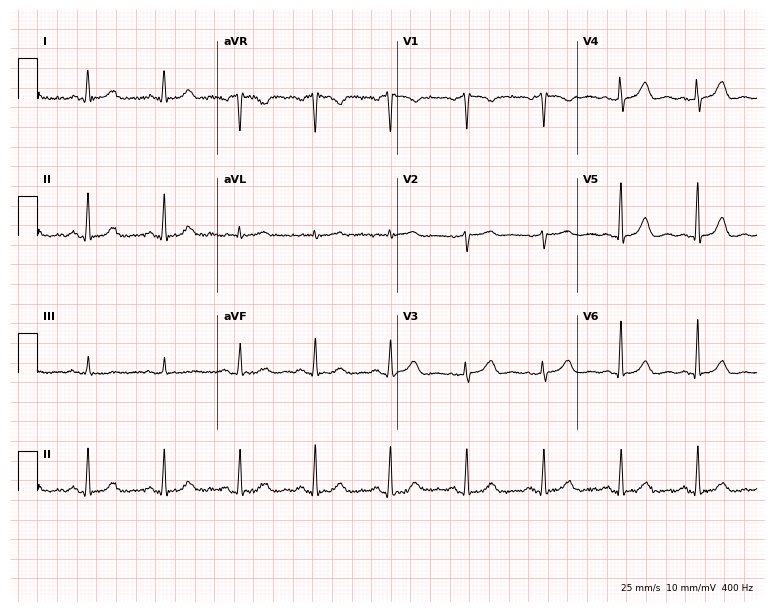
Electrocardiogram, a 64-year-old female. Of the six screened findings (first-degree AV block, right bundle branch block, left bundle branch block, sinus bradycardia, atrial fibrillation, sinus tachycardia), none is recorded.